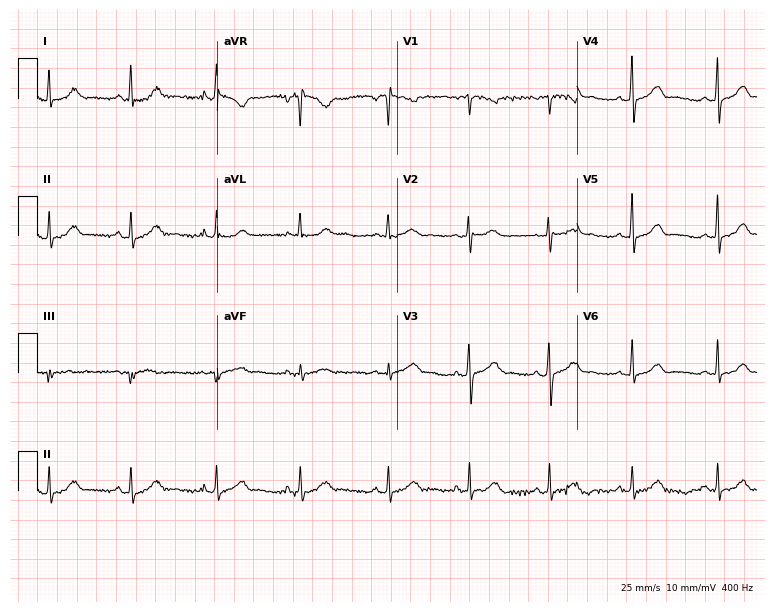
12-lead ECG from a female, 28 years old. No first-degree AV block, right bundle branch block, left bundle branch block, sinus bradycardia, atrial fibrillation or sinus tachycardia recorded for this tracing. Only these six findings were labelled.